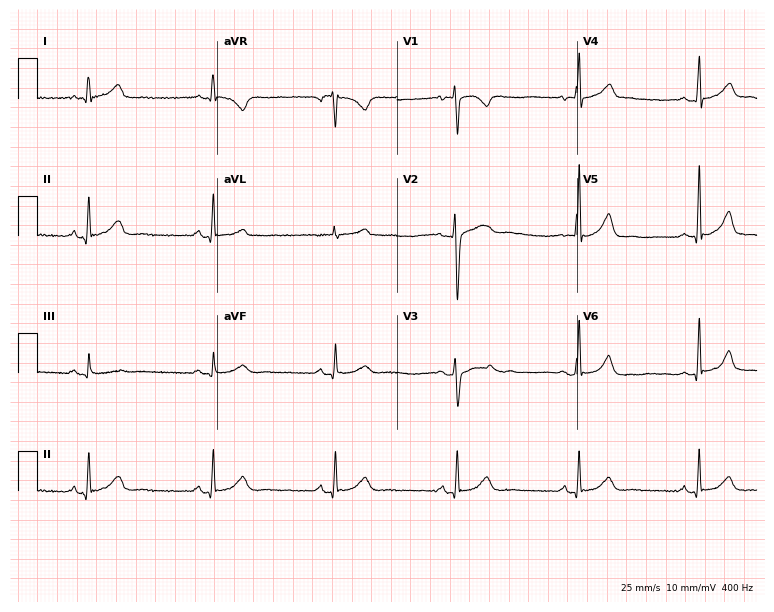
ECG — a female, 30 years old. Findings include sinus bradycardia (a sinus rate of 50 beats per minute or less).